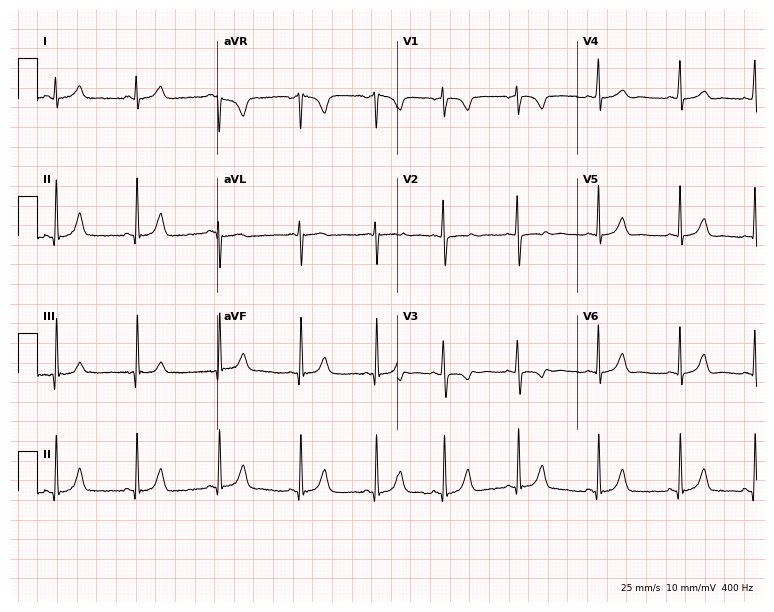
12-lead ECG (7.3-second recording at 400 Hz) from a female, 18 years old. Labelled as a normal ECG.